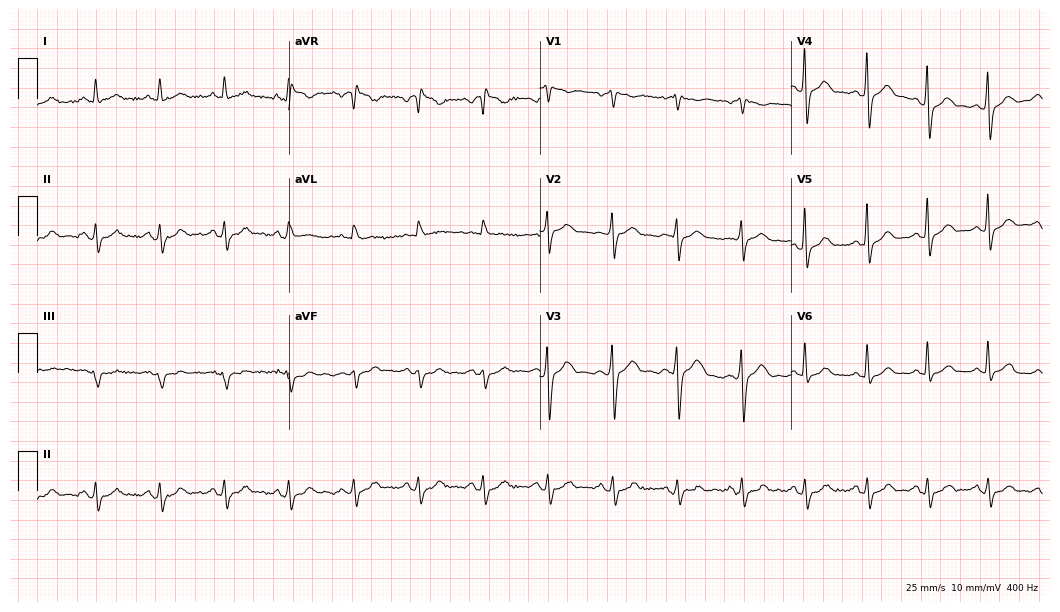
Electrocardiogram, a 63-year-old man. Overall reading on record: normal ECG.